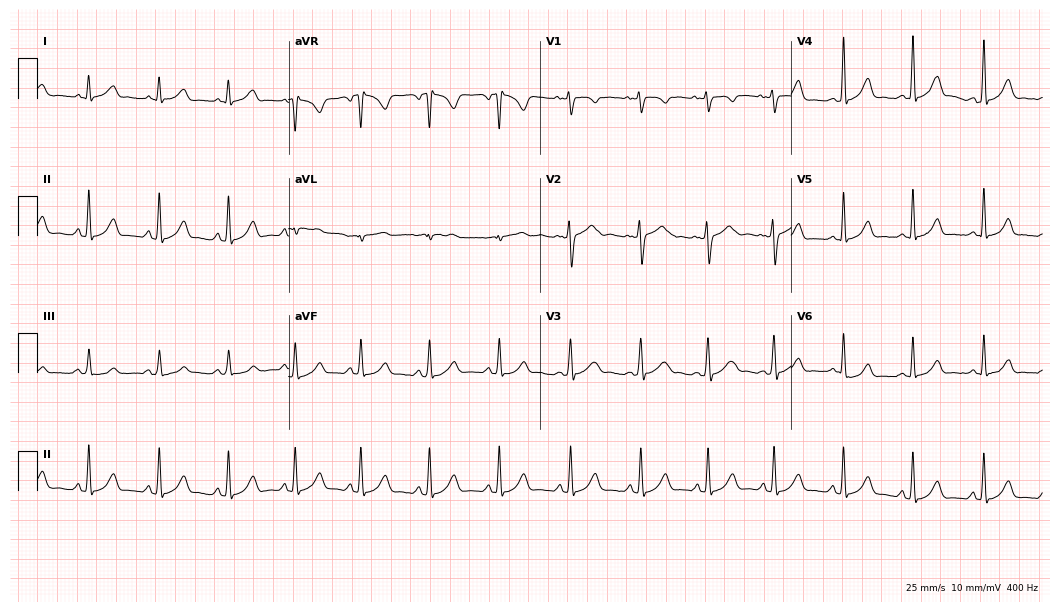
Electrocardiogram (10.2-second recording at 400 Hz), a woman, 27 years old. Of the six screened findings (first-degree AV block, right bundle branch block, left bundle branch block, sinus bradycardia, atrial fibrillation, sinus tachycardia), none is recorded.